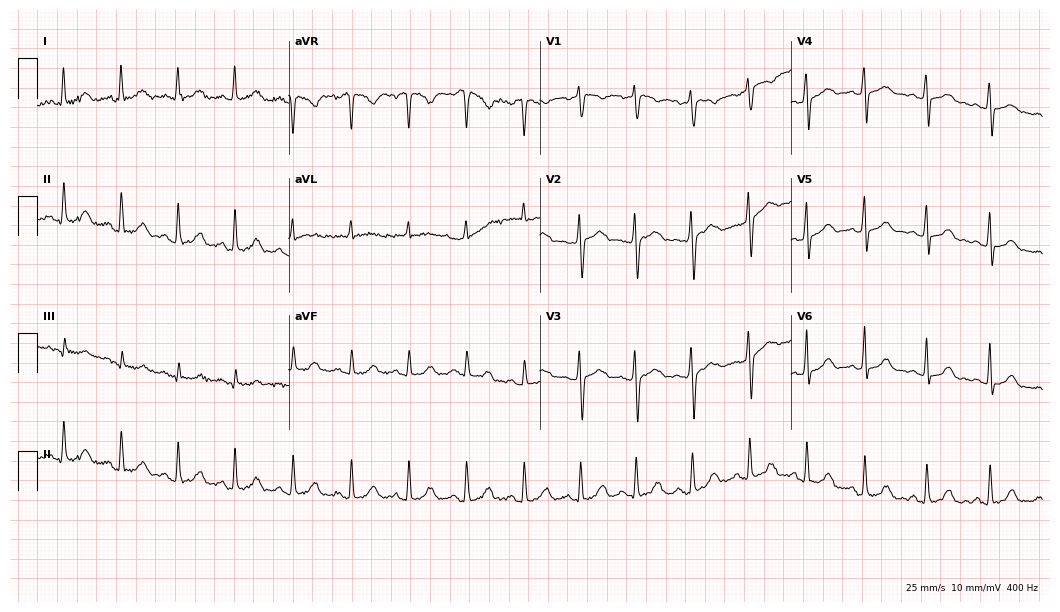
Standard 12-lead ECG recorded from a woman, 22 years old. Read as a normal ECG.